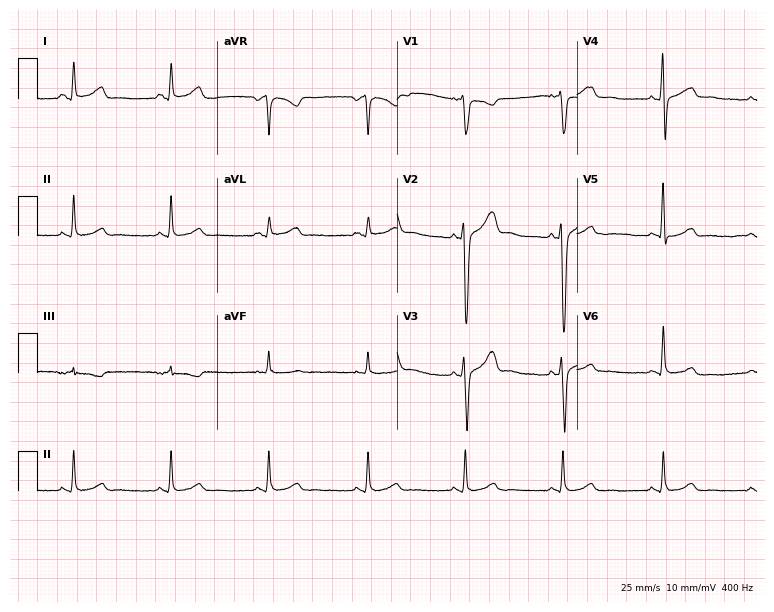
Resting 12-lead electrocardiogram. Patient: a man, 35 years old. None of these six findings is recorded: first-degree AV block, right bundle branch block, left bundle branch block, sinus bradycardia, atrial fibrillation, sinus tachycardia. Findings outside these six are not listed.